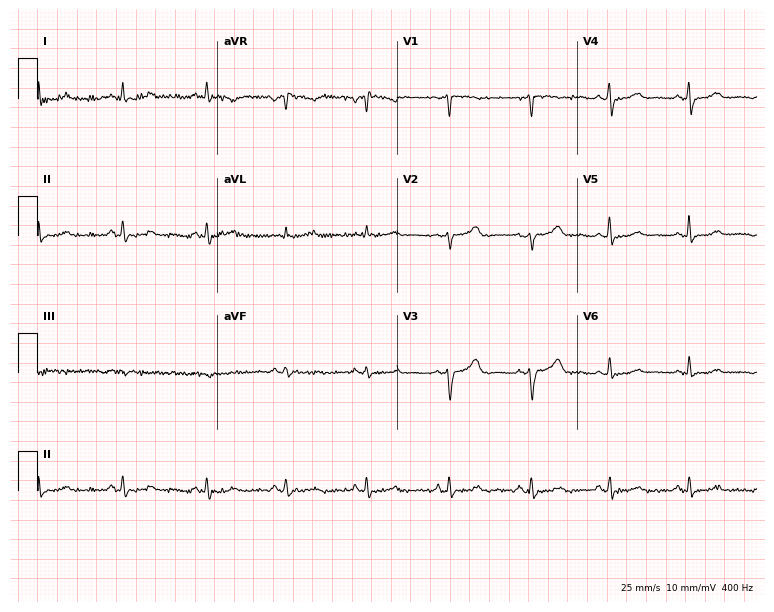
12-lead ECG from a woman, 47 years old. Screened for six findings — first-degree AV block, right bundle branch block, left bundle branch block, sinus bradycardia, atrial fibrillation, sinus tachycardia — none is recorded. Only these six findings were labelled.